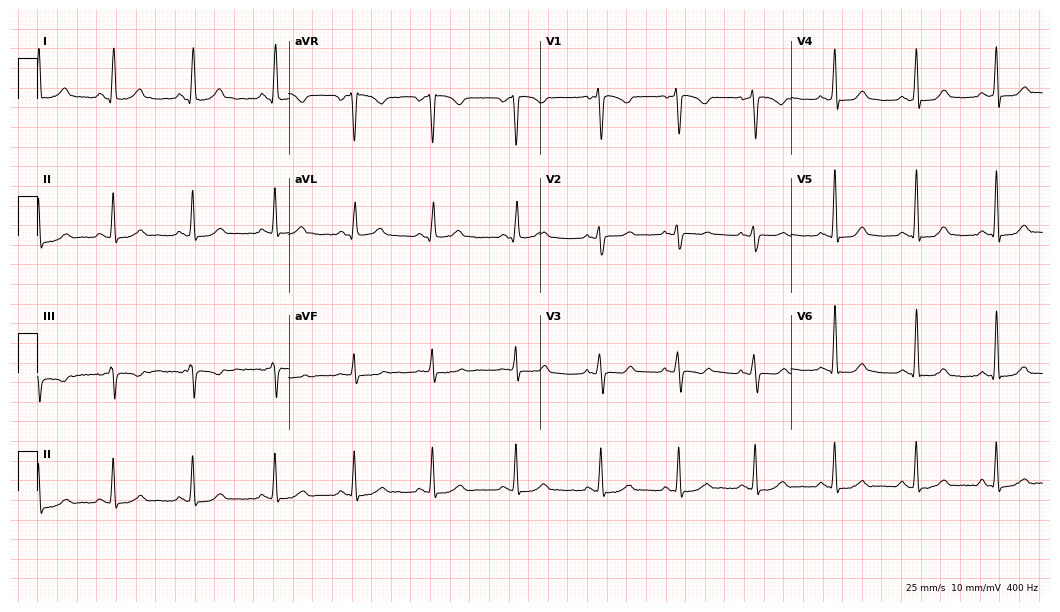
Resting 12-lead electrocardiogram. Patient: a 33-year-old female. None of these six findings is recorded: first-degree AV block, right bundle branch block, left bundle branch block, sinus bradycardia, atrial fibrillation, sinus tachycardia.